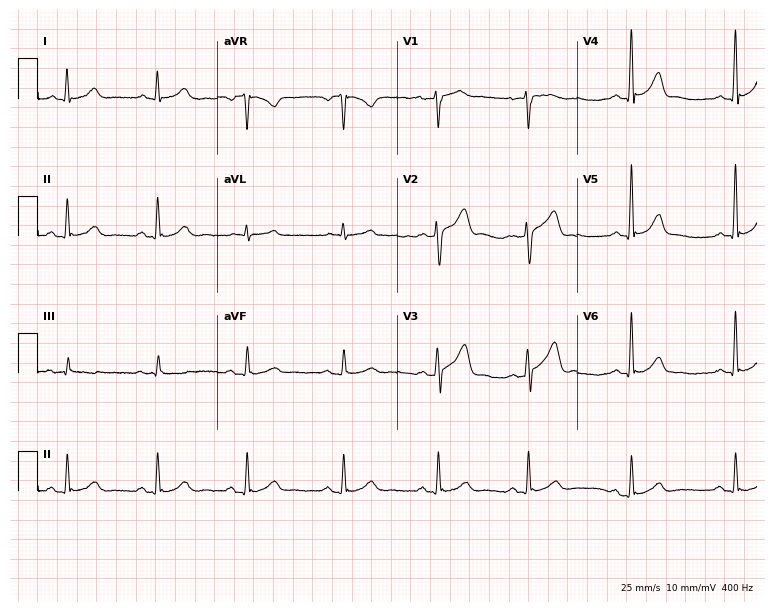
Electrocardiogram (7.3-second recording at 400 Hz), a man, 66 years old. Of the six screened findings (first-degree AV block, right bundle branch block (RBBB), left bundle branch block (LBBB), sinus bradycardia, atrial fibrillation (AF), sinus tachycardia), none is recorded.